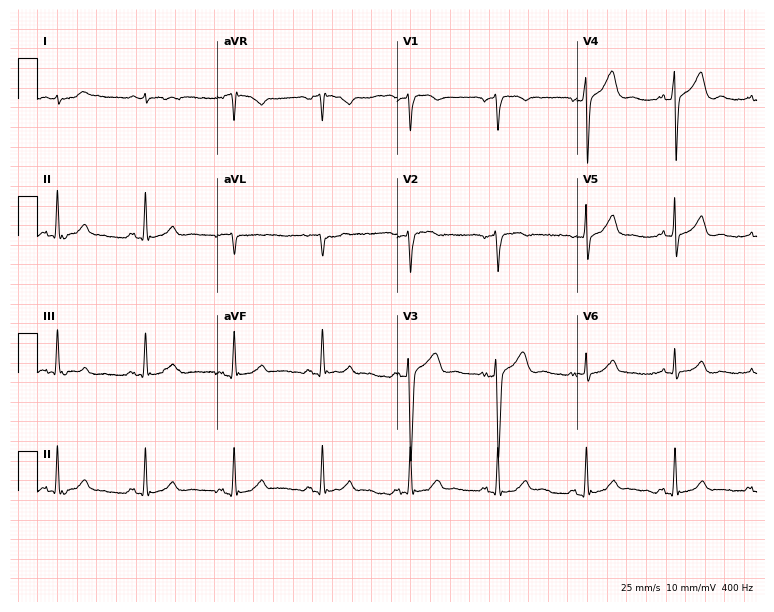
Standard 12-lead ECG recorded from a man, 61 years old (7.3-second recording at 400 Hz). None of these six findings is recorded: first-degree AV block, right bundle branch block, left bundle branch block, sinus bradycardia, atrial fibrillation, sinus tachycardia. Only these six findings were labelled.